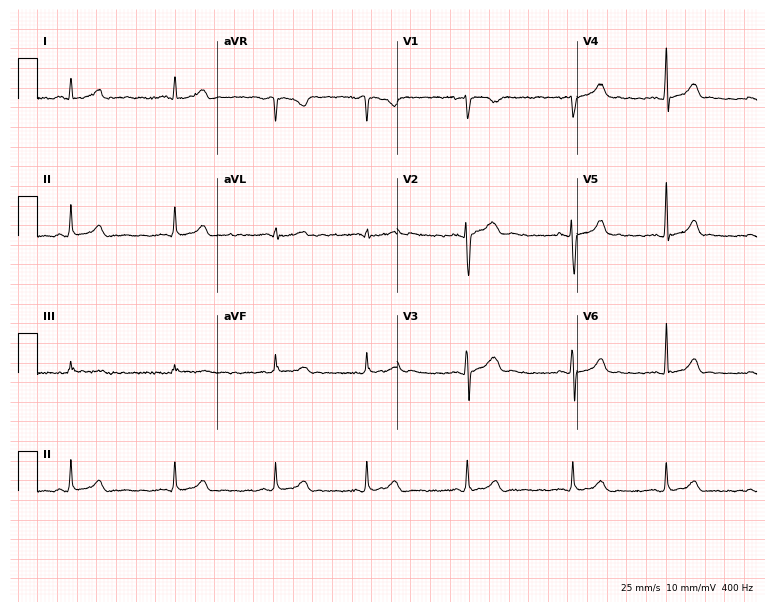
12-lead ECG from a female patient, 17 years old. Labelled as a normal ECG.